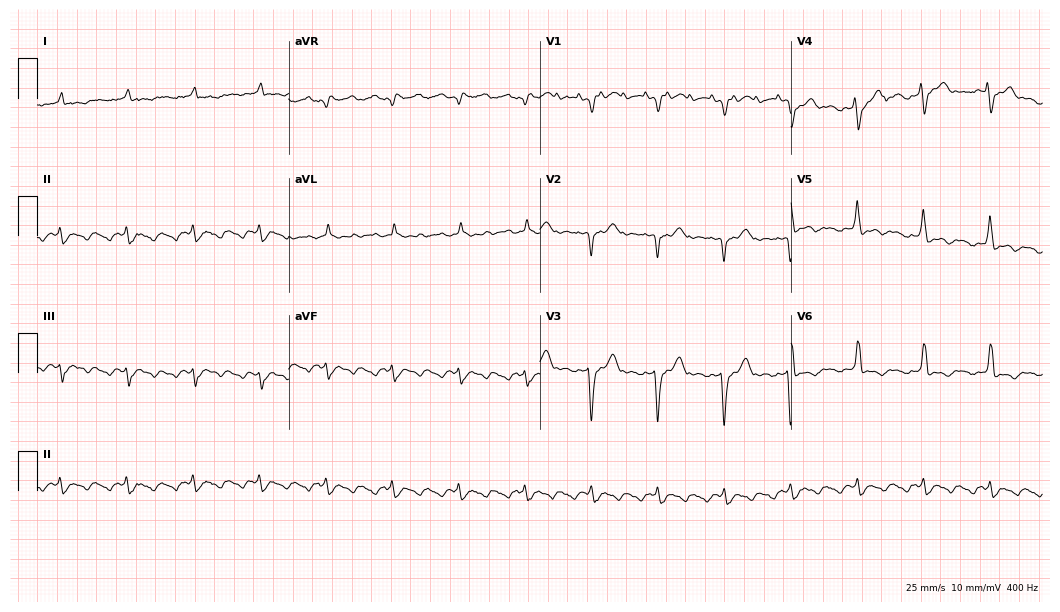
Standard 12-lead ECG recorded from a 63-year-old man. The tracing shows left bundle branch block.